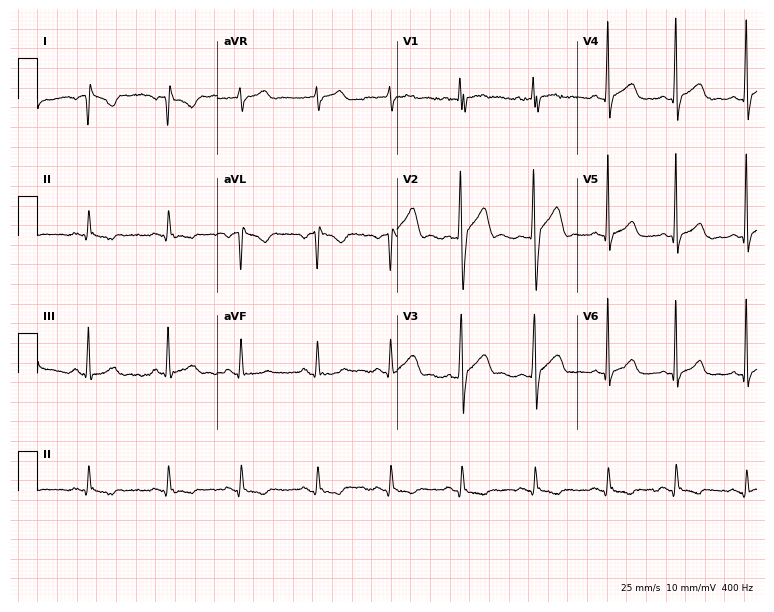
Resting 12-lead electrocardiogram. Patient: a male, 27 years old. None of these six findings is recorded: first-degree AV block, right bundle branch block (RBBB), left bundle branch block (LBBB), sinus bradycardia, atrial fibrillation (AF), sinus tachycardia.